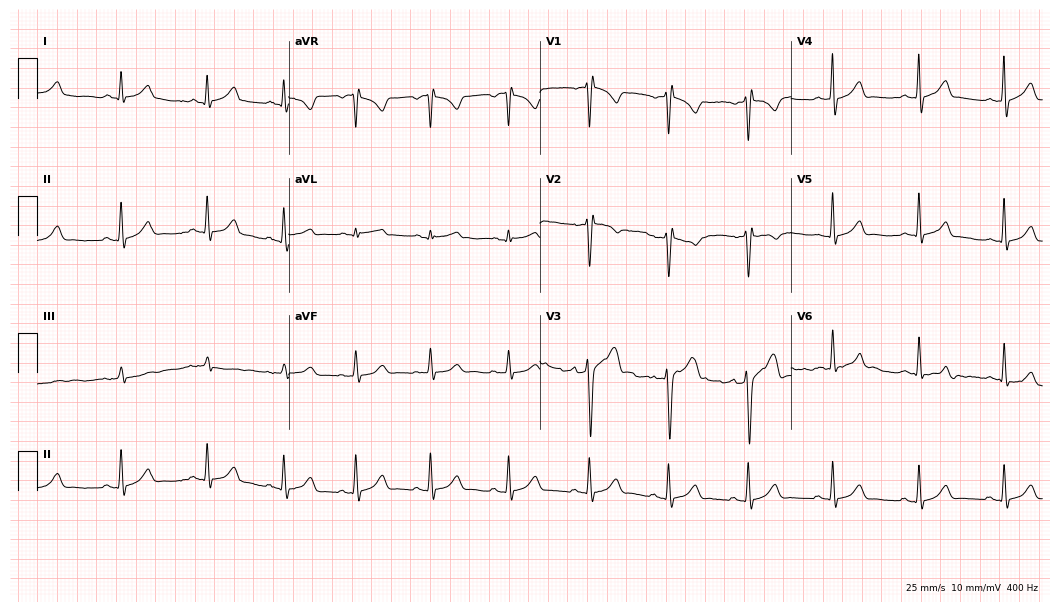
Resting 12-lead electrocardiogram (10.2-second recording at 400 Hz). Patient: an 18-year-old male. None of these six findings is recorded: first-degree AV block, right bundle branch block, left bundle branch block, sinus bradycardia, atrial fibrillation, sinus tachycardia. Findings outside these six are not listed.